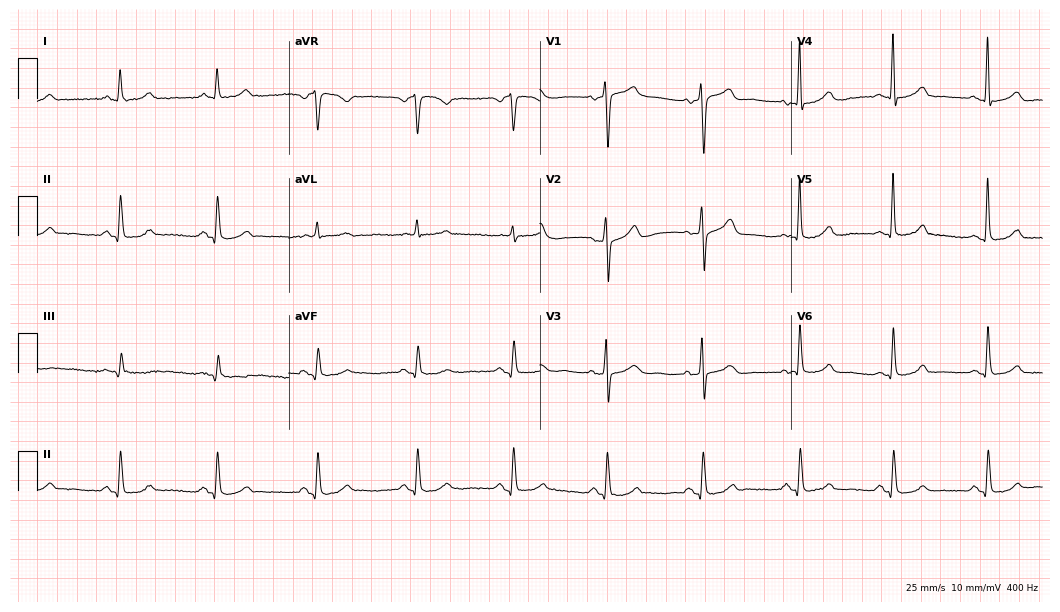
12-lead ECG from a female patient, 69 years old. Labelled as a normal ECG.